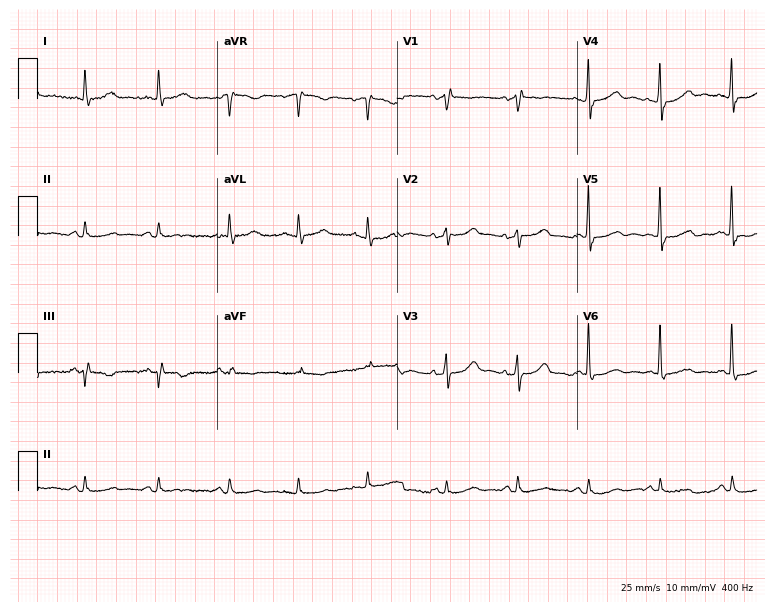
Electrocardiogram (7.3-second recording at 400 Hz), a woman, 72 years old. Of the six screened findings (first-degree AV block, right bundle branch block (RBBB), left bundle branch block (LBBB), sinus bradycardia, atrial fibrillation (AF), sinus tachycardia), none is recorded.